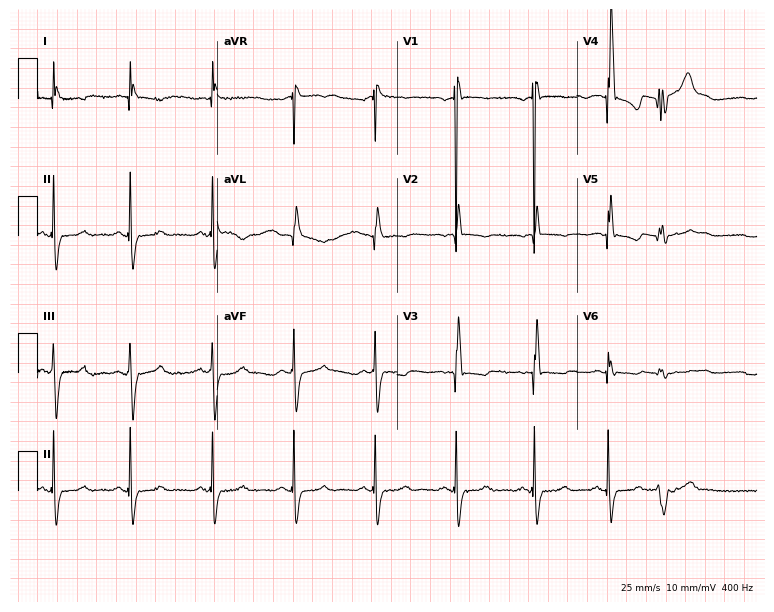
12-lead ECG from an 82-year-old woman. No first-degree AV block, right bundle branch block, left bundle branch block, sinus bradycardia, atrial fibrillation or sinus tachycardia recorded for this tracing. Findings outside these six are not listed.